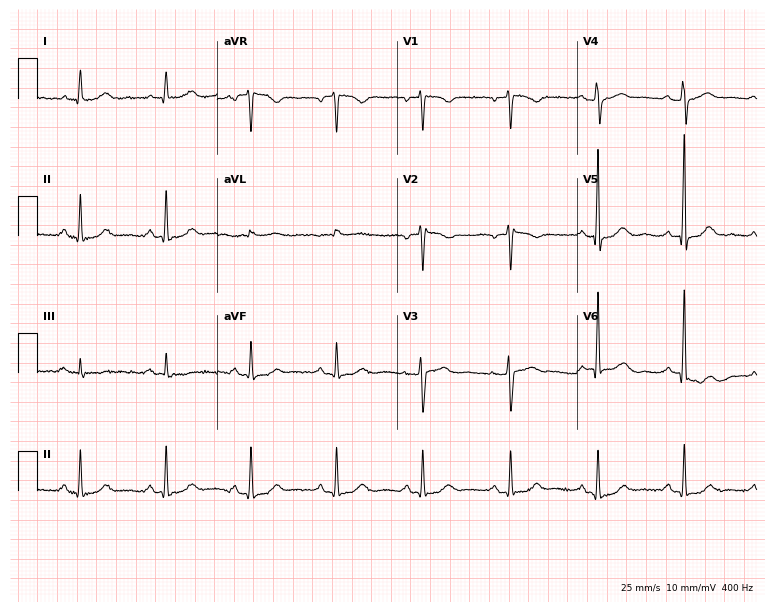
ECG (7.3-second recording at 400 Hz) — a 68-year-old female patient. Labelled as a normal ECG.